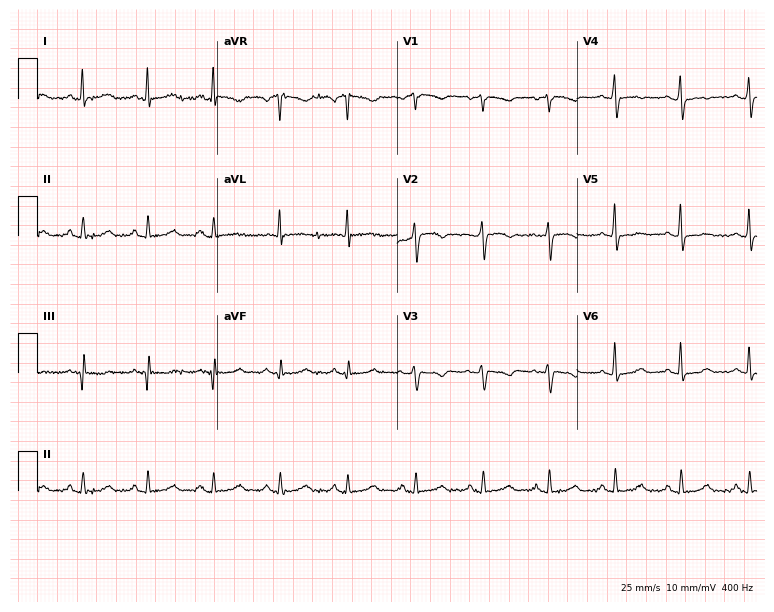
12-lead ECG from a female patient, 54 years old. Recorded interpretation: within normal limits.